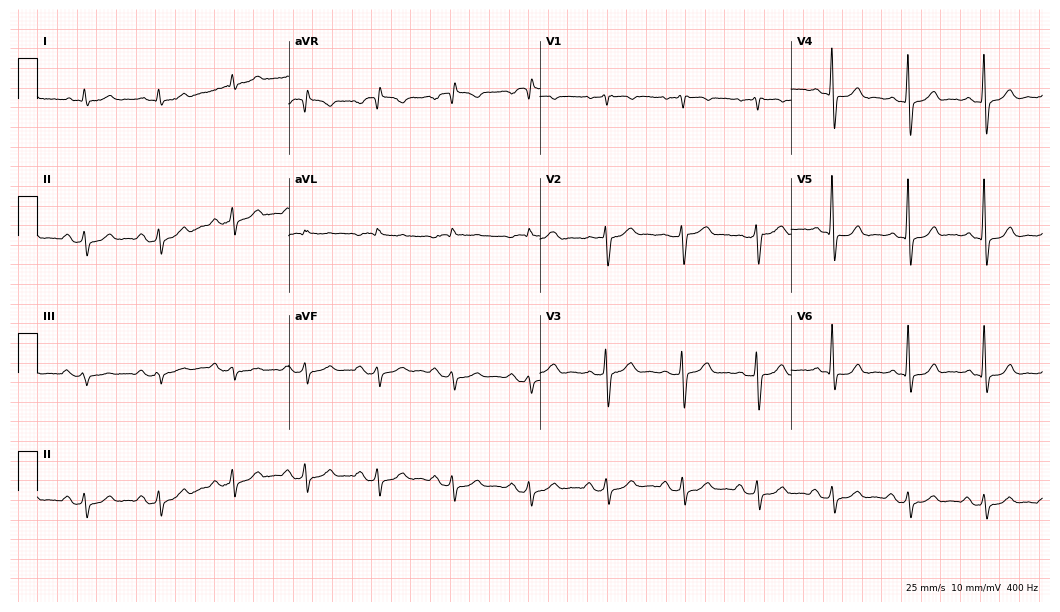
12-lead ECG from a male patient, 78 years old. Screened for six findings — first-degree AV block, right bundle branch block (RBBB), left bundle branch block (LBBB), sinus bradycardia, atrial fibrillation (AF), sinus tachycardia — none is recorded.